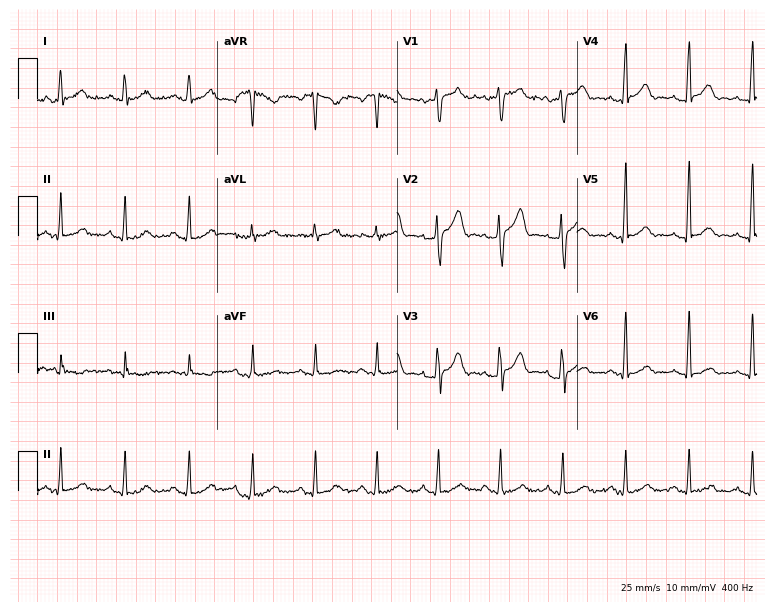
ECG — a 38-year-old male. Labelled as a normal ECG.